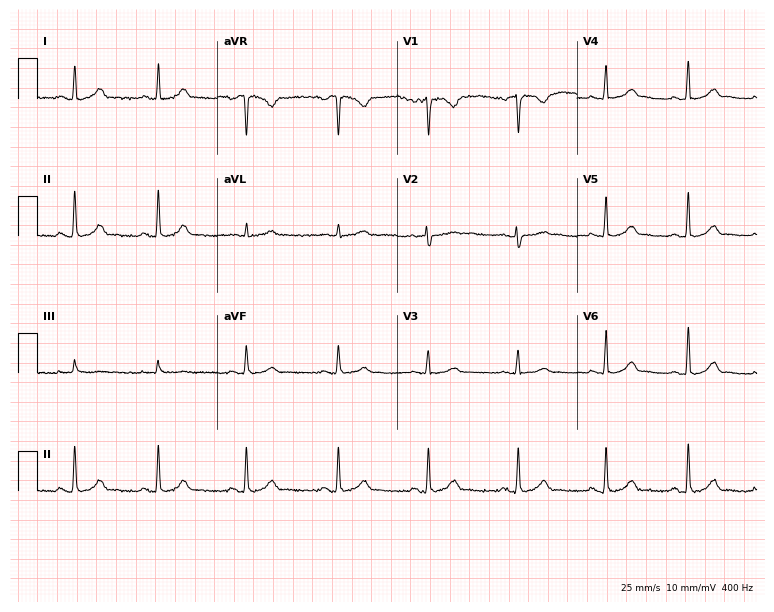
12-lead ECG from a female patient, 45 years old. Labelled as a normal ECG.